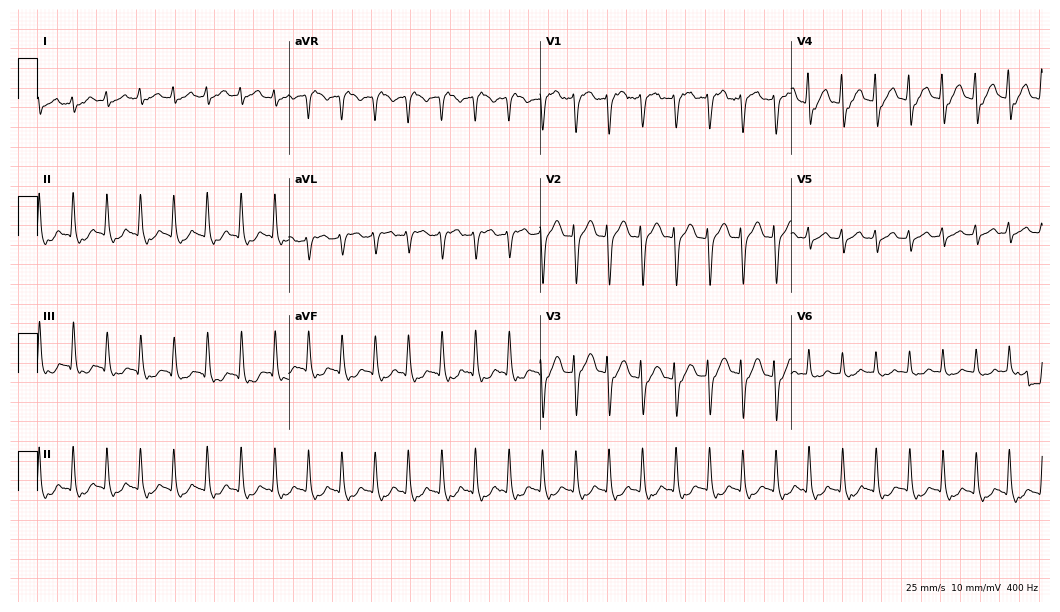
12-lead ECG (10.2-second recording at 400 Hz) from a 48-year-old female. Screened for six findings — first-degree AV block, right bundle branch block, left bundle branch block, sinus bradycardia, atrial fibrillation, sinus tachycardia — none is recorded. Findings outside these six are not listed.